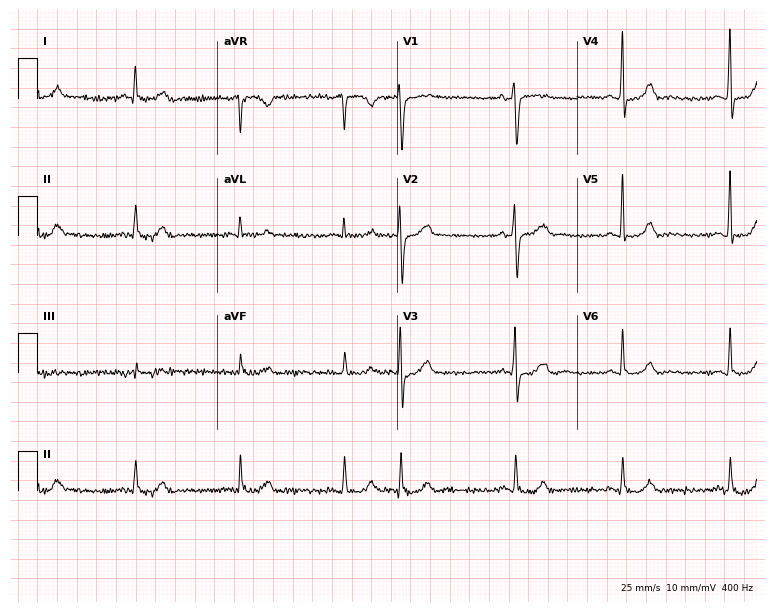
12-lead ECG (7.3-second recording at 400 Hz) from a man, 72 years old. Screened for six findings — first-degree AV block, right bundle branch block, left bundle branch block, sinus bradycardia, atrial fibrillation, sinus tachycardia — none is recorded. Only these six findings were labelled.